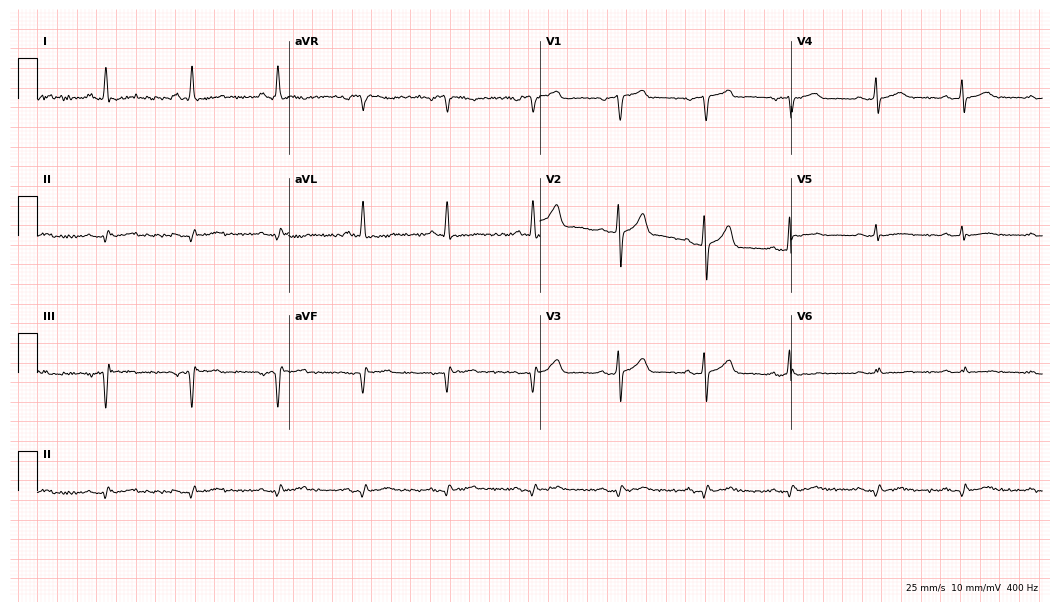
ECG (10.2-second recording at 400 Hz) — a man, 75 years old. Screened for six findings — first-degree AV block, right bundle branch block, left bundle branch block, sinus bradycardia, atrial fibrillation, sinus tachycardia — none is recorded. Other findings, if any, are not listed.